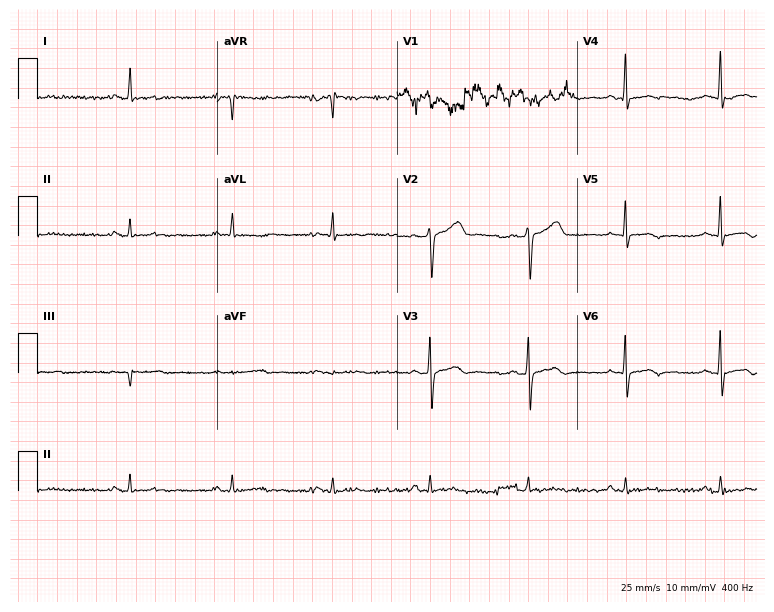
Resting 12-lead electrocardiogram. Patient: a 67-year-old male. None of these six findings is recorded: first-degree AV block, right bundle branch block (RBBB), left bundle branch block (LBBB), sinus bradycardia, atrial fibrillation (AF), sinus tachycardia.